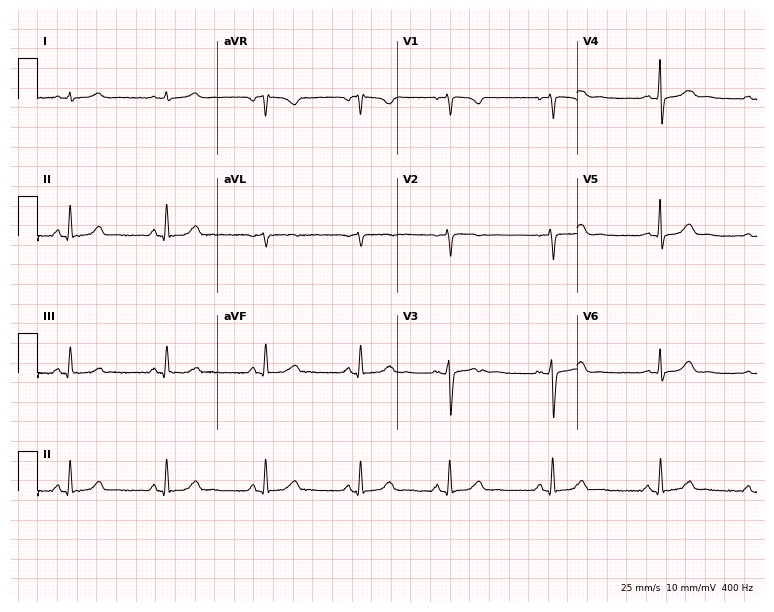
Electrocardiogram, a 38-year-old female. Of the six screened findings (first-degree AV block, right bundle branch block (RBBB), left bundle branch block (LBBB), sinus bradycardia, atrial fibrillation (AF), sinus tachycardia), none is recorded. Other findings, if any, are not listed.